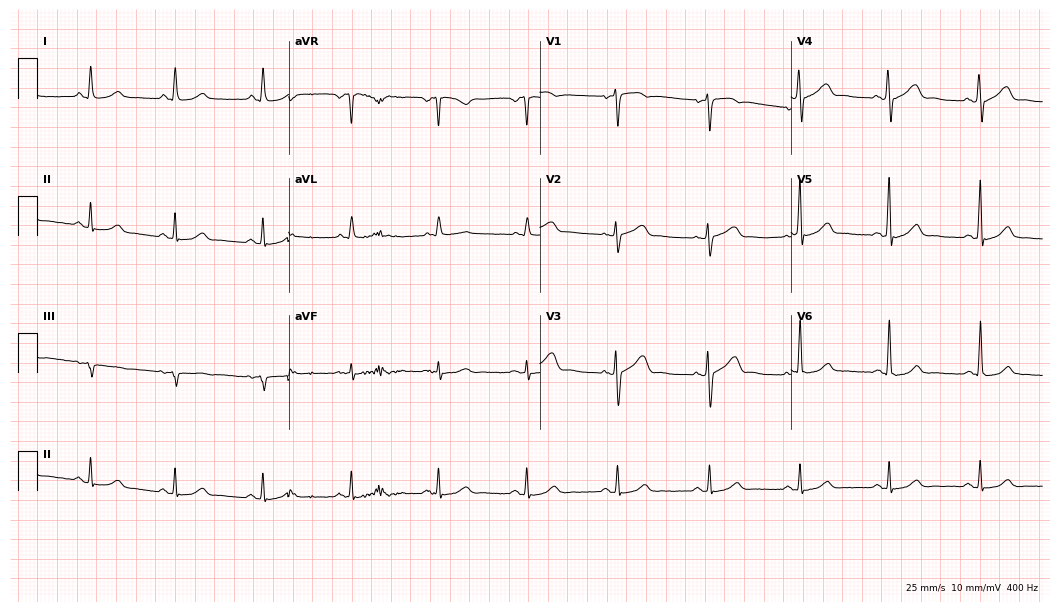
Electrocardiogram (10.2-second recording at 400 Hz), a female patient, 57 years old. Overall reading on record: normal ECG.